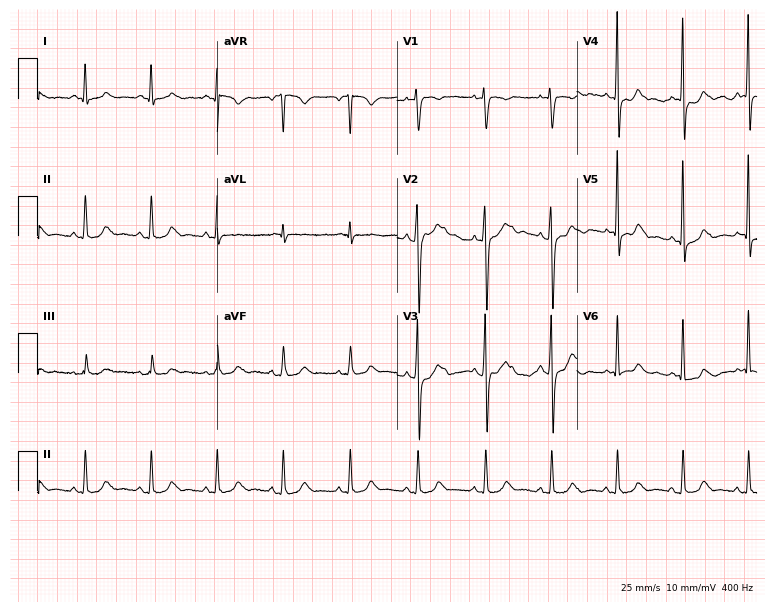
Standard 12-lead ECG recorded from a 41-year-old female patient (7.3-second recording at 400 Hz). None of these six findings is recorded: first-degree AV block, right bundle branch block (RBBB), left bundle branch block (LBBB), sinus bradycardia, atrial fibrillation (AF), sinus tachycardia.